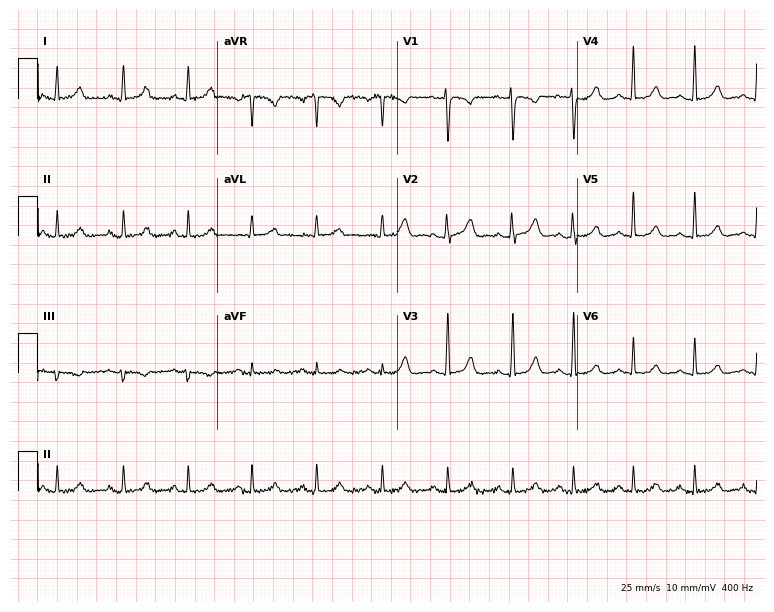
Electrocardiogram (7.3-second recording at 400 Hz), a 44-year-old female. Of the six screened findings (first-degree AV block, right bundle branch block, left bundle branch block, sinus bradycardia, atrial fibrillation, sinus tachycardia), none is recorded. Findings outside these six are not listed.